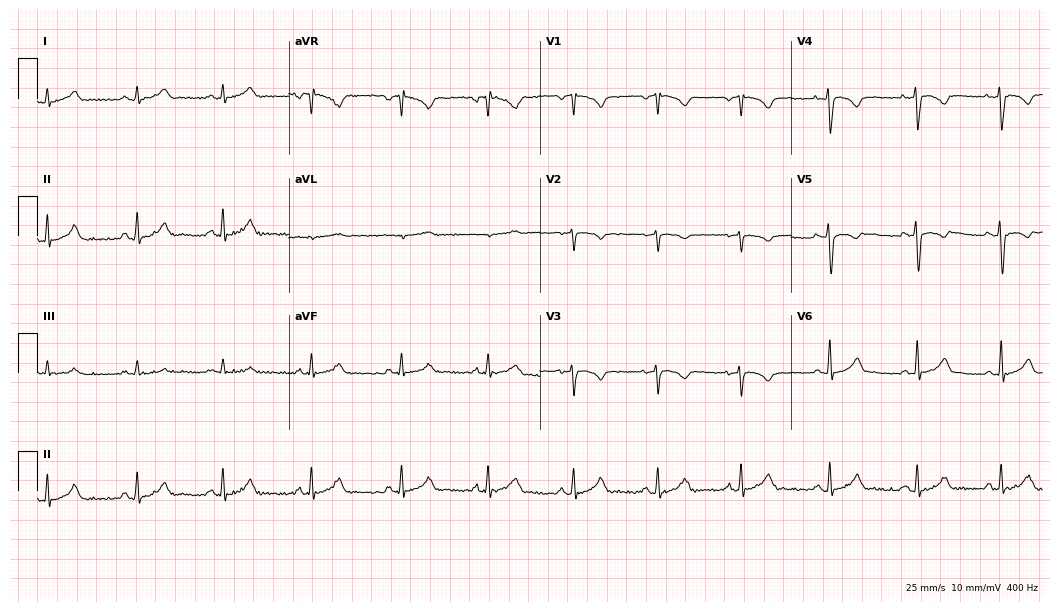
Resting 12-lead electrocardiogram. Patient: a female, 31 years old. None of these six findings is recorded: first-degree AV block, right bundle branch block, left bundle branch block, sinus bradycardia, atrial fibrillation, sinus tachycardia. Findings outside these six are not listed.